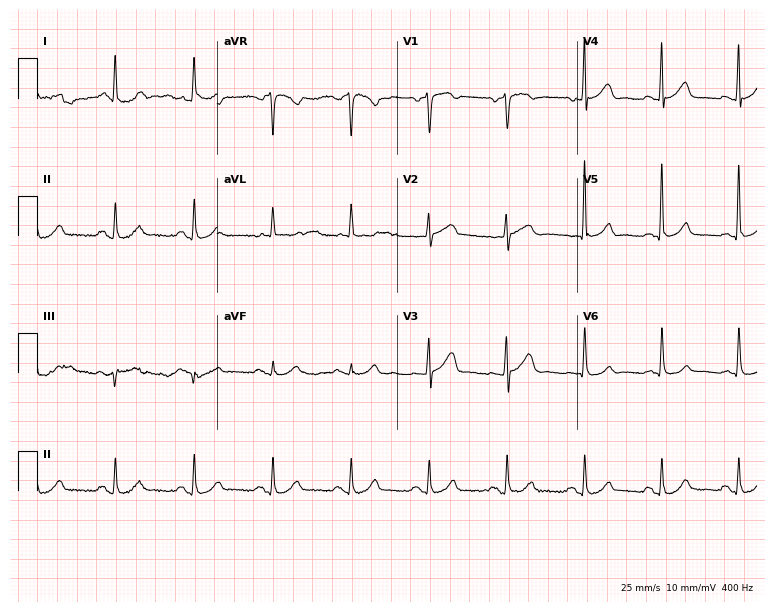
ECG (7.3-second recording at 400 Hz) — a male patient, 62 years old. Labelled as a normal ECG.